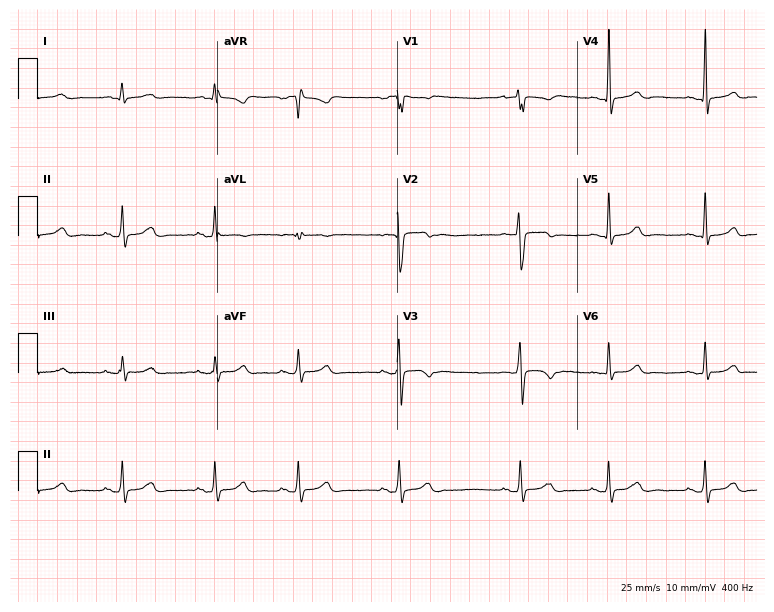
Resting 12-lead electrocardiogram (7.3-second recording at 400 Hz). Patient: a female, 18 years old. Read as a normal ECG.